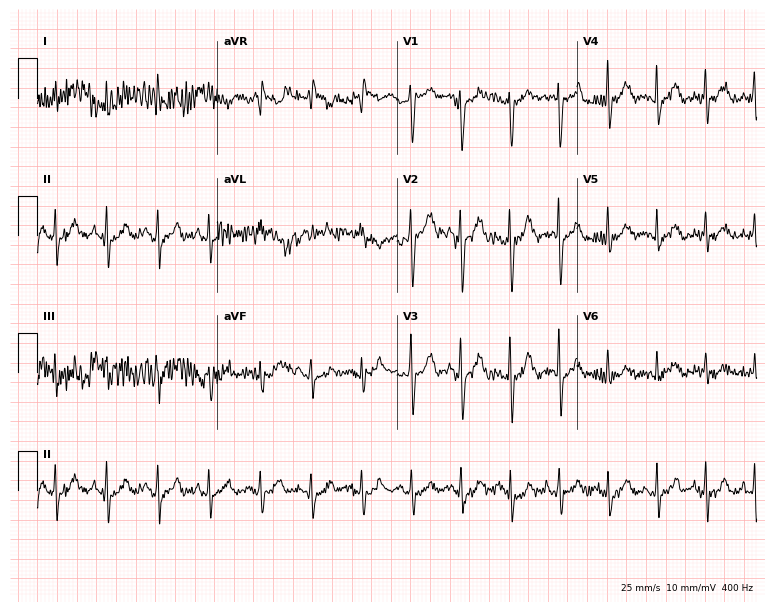
Electrocardiogram (7.3-second recording at 400 Hz), a male patient, 61 years old. Of the six screened findings (first-degree AV block, right bundle branch block (RBBB), left bundle branch block (LBBB), sinus bradycardia, atrial fibrillation (AF), sinus tachycardia), none is recorded.